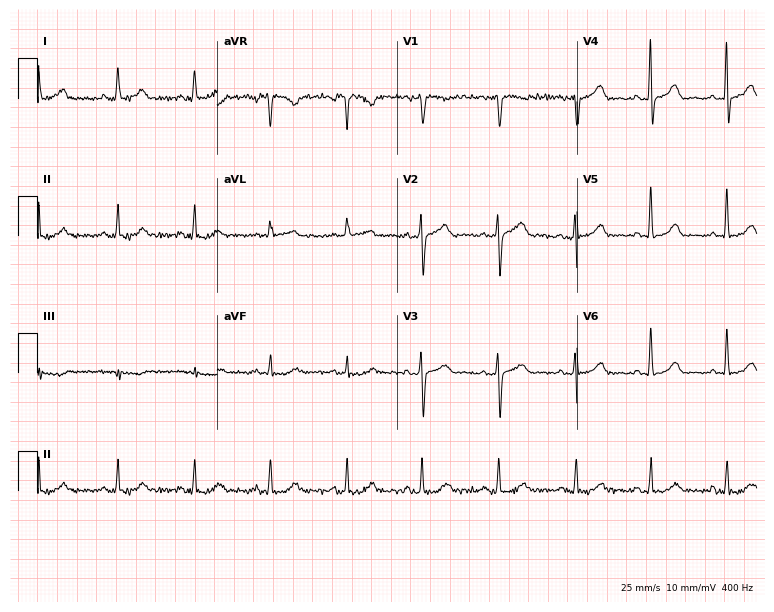
Resting 12-lead electrocardiogram (7.3-second recording at 400 Hz). Patient: a 53-year-old female. Read as a normal ECG.